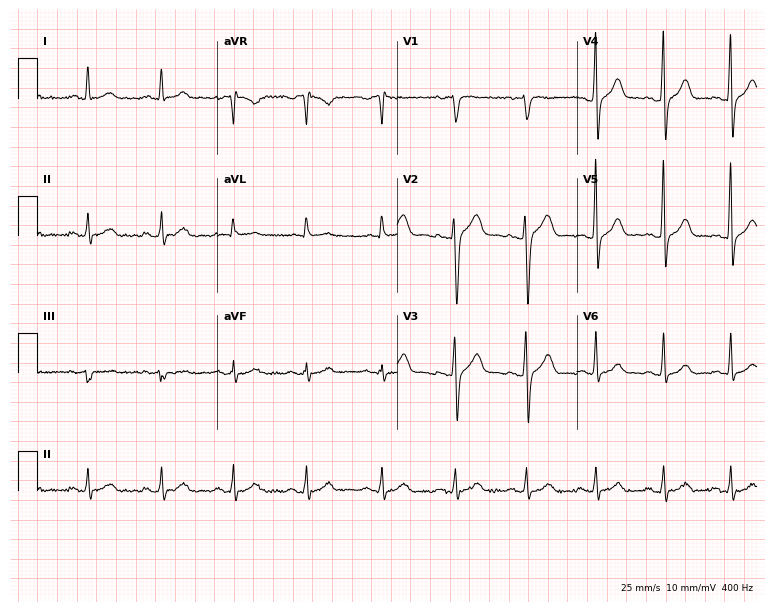
Standard 12-lead ECG recorded from a 41-year-old woman (7.3-second recording at 400 Hz). Read as a normal ECG.